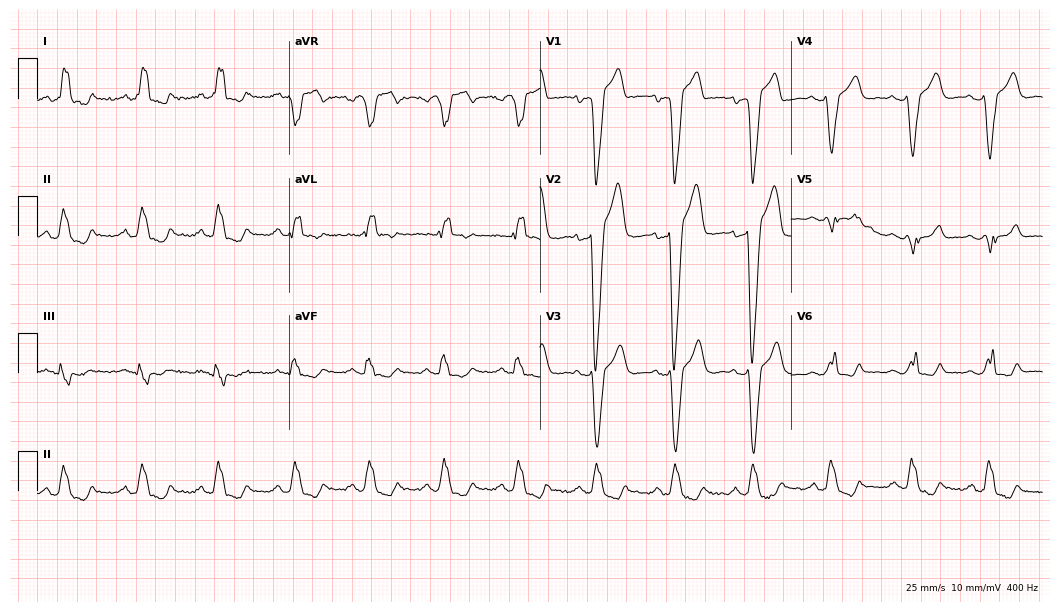
12-lead ECG (10.2-second recording at 400 Hz) from a 39-year-old male. Findings include left bundle branch block.